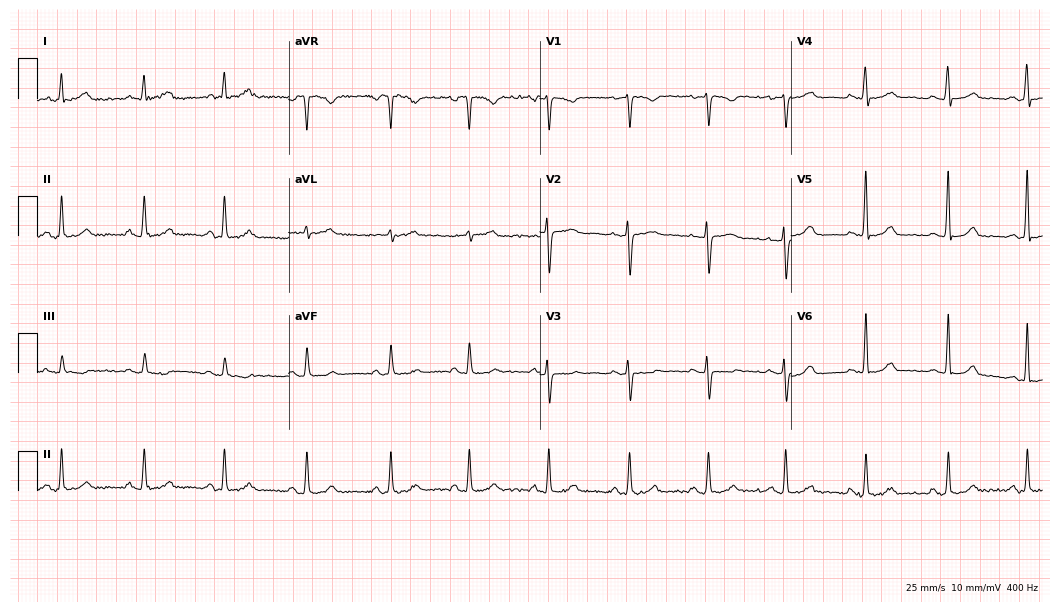
12-lead ECG from a female patient, 41 years old (10.2-second recording at 400 Hz). Recorded interpretation: within normal limits.